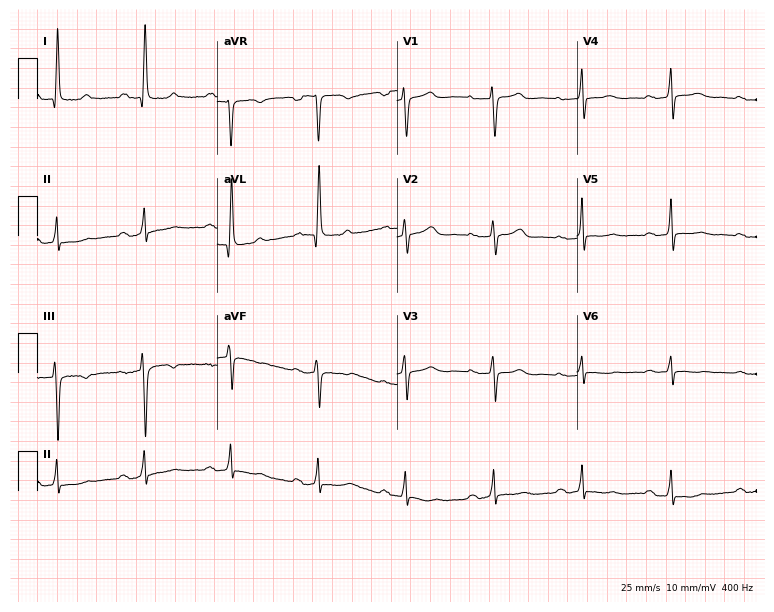
Resting 12-lead electrocardiogram. Patient: a 64-year-old woman. None of these six findings is recorded: first-degree AV block, right bundle branch block, left bundle branch block, sinus bradycardia, atrial fibrillation, sinus tachycardia. Other findings, if any, are not listed.